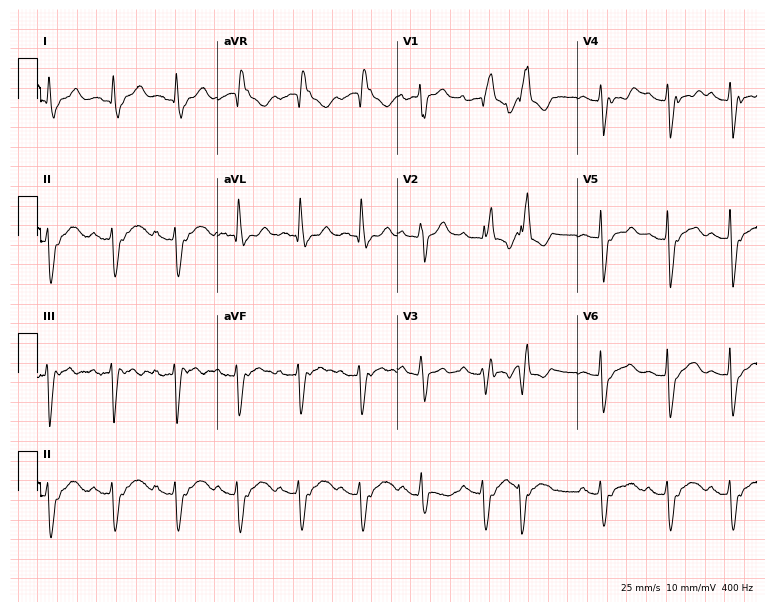
12-lead ECG from a 75-year-old female patient. Shows first-degree AV block, atrial fibrillation.